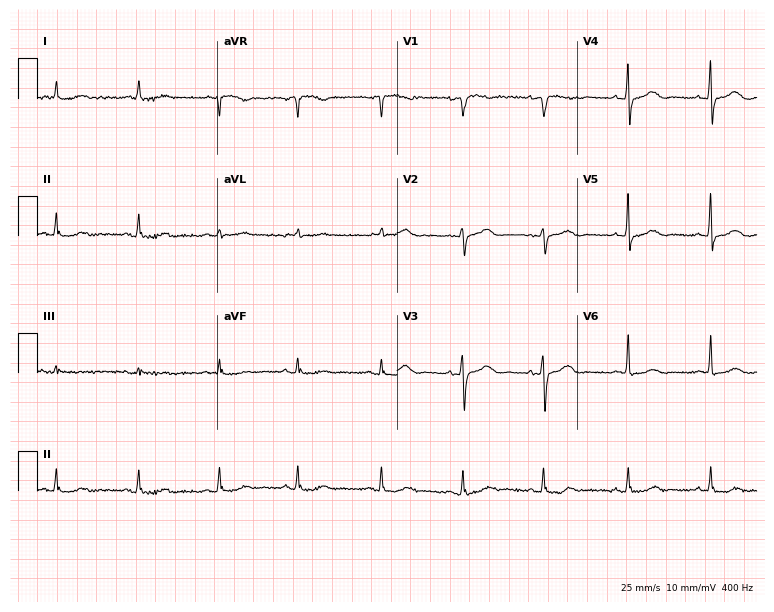
Standard 12-lead ECG recorded from a female patient, 76 years old (7.3-second recording at 400 Hz). Read as a normal ECG.